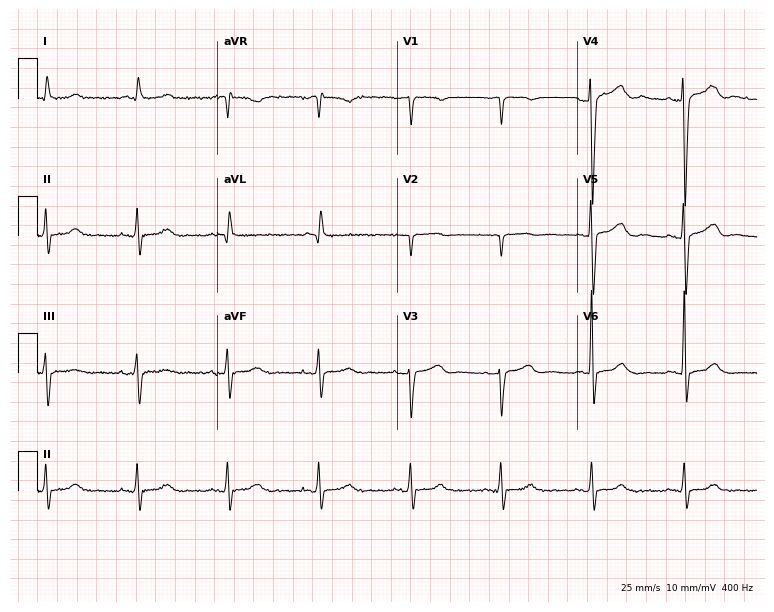
12-lead ECG (7.3-second recording at 400 Hz) from a 79-year-old male. Labelled as a normal ECG.